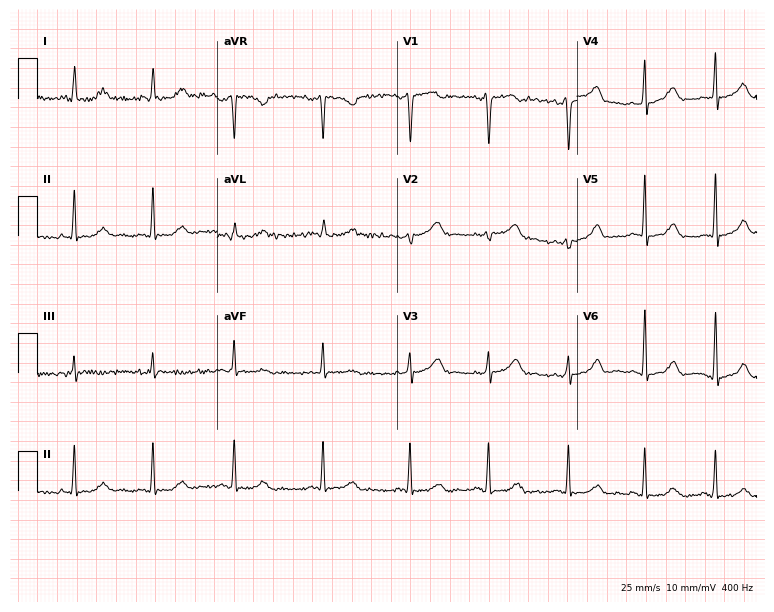
Electrocardiogram, a woman, 48 years old. Of the six screened findings (first-degree AV block, right bundle branch block, left bundle branch block, sinus bradycardia, atrial fibrillation, sinus tachycardia), none is recorded.